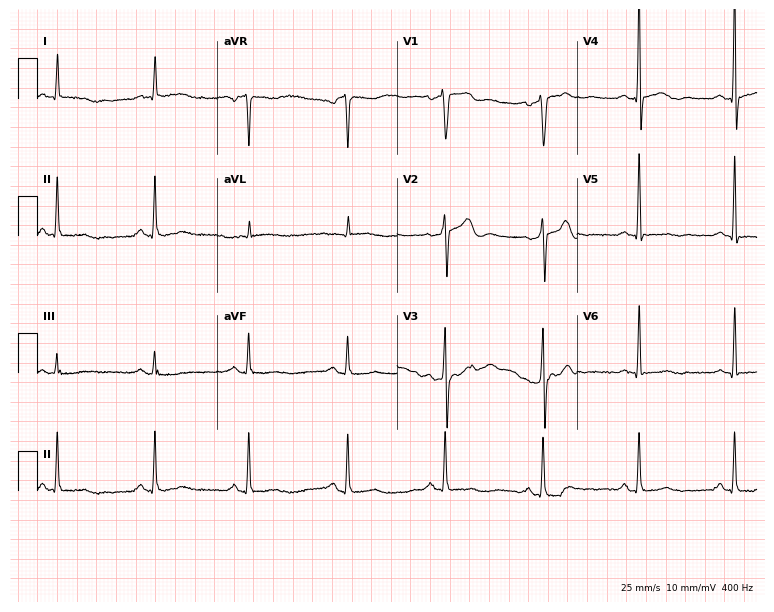
12-lead ECG from a male patient, 59 years old (7.3-second recording at 400 Hz). No first-degree AV block, right bundle branch block, left bundle branch block, sinus bradycardia, atrial fibrillation or sinus tachycardia recorded for this tracing.